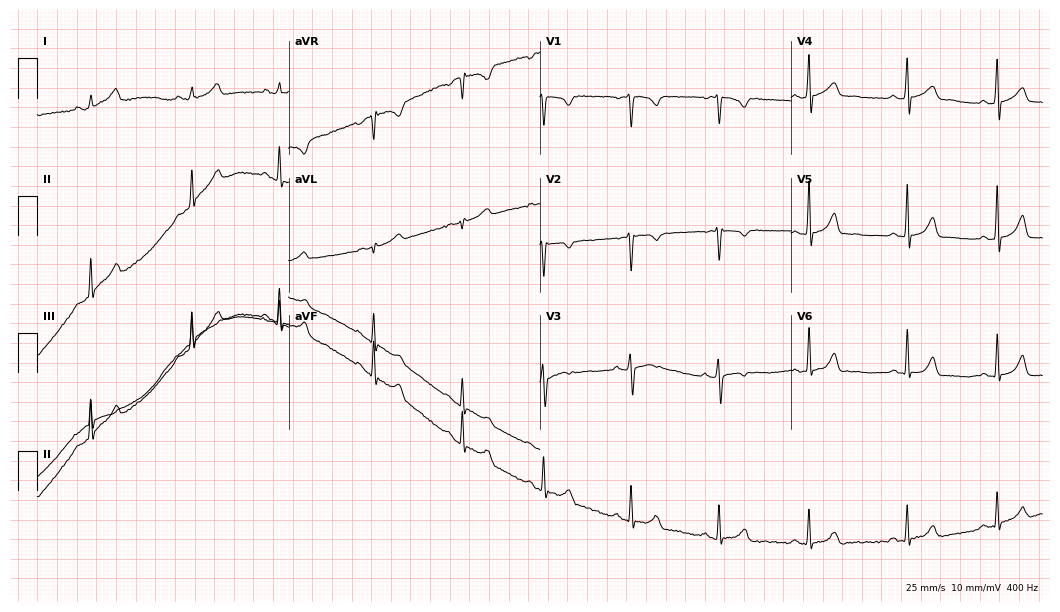
12-lead ECG from a female, 22 years old (10.2-second recording at 400 Hz). Recorded interpretation: within normal limits.